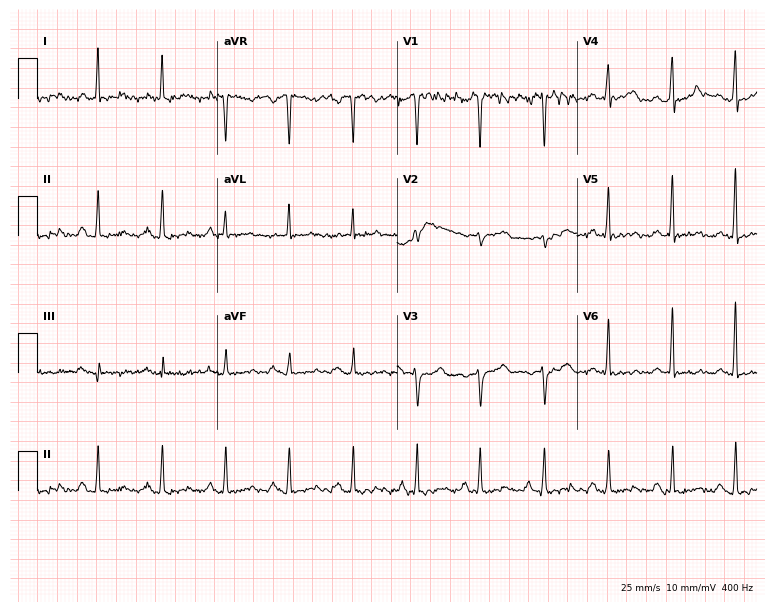
Standard 12-lead ECG recorded from a woman, 46 years old. None of these six findings is recorded: first-degree AV block, right bundle branch block (RBBB), left bundle branch block (LBBB), sinus bradycardia, atrial fibrillation (AF), sinus tachycardia.